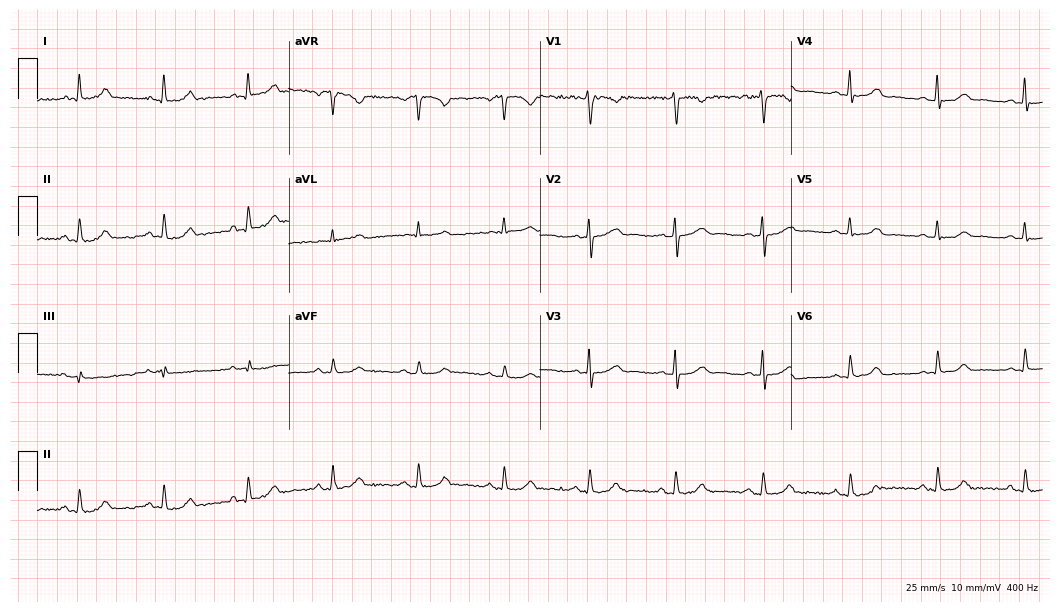
Standard 12-lead ECG recorded from a 48-year-old female (10.2-second recording at 400 Hz). Read as a normal ECG.